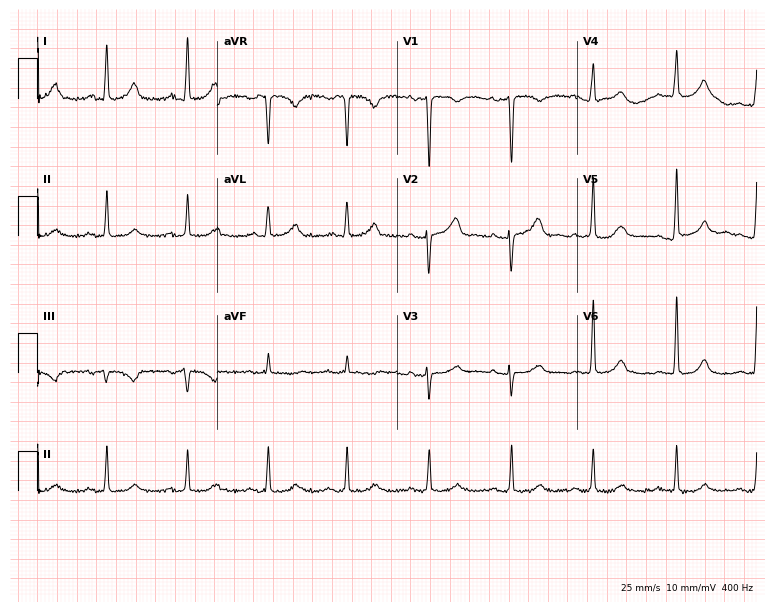
12-lead ECG (7.3-second recording at 400 Hz) from a 49-year-old female patient. Labelled as a normal ECG.